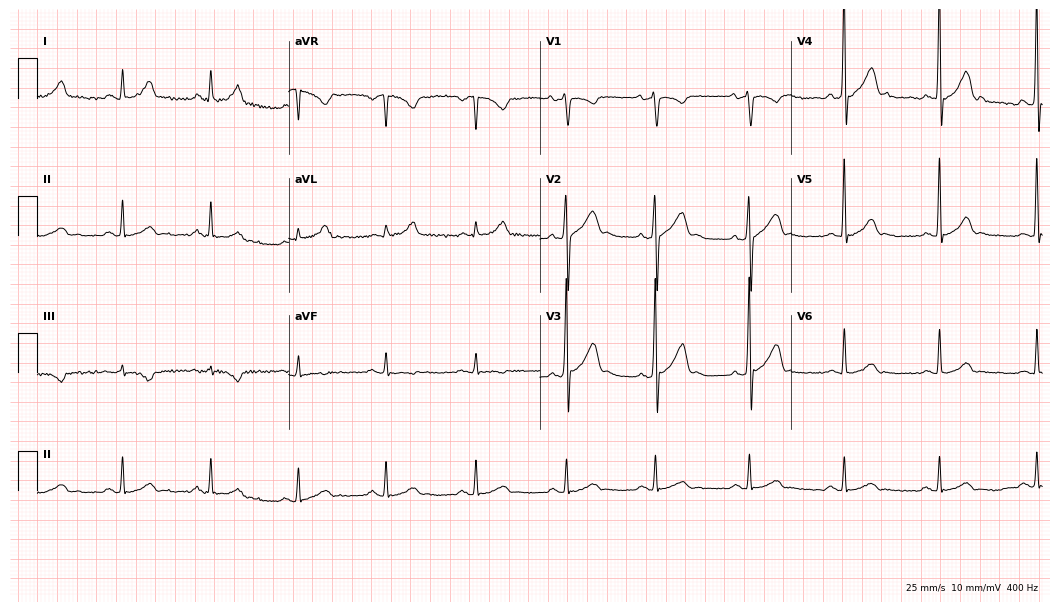
ECG (10.2-second recording at 400 Hz) — a man, 46 years old. Labelled as a normal ECG.